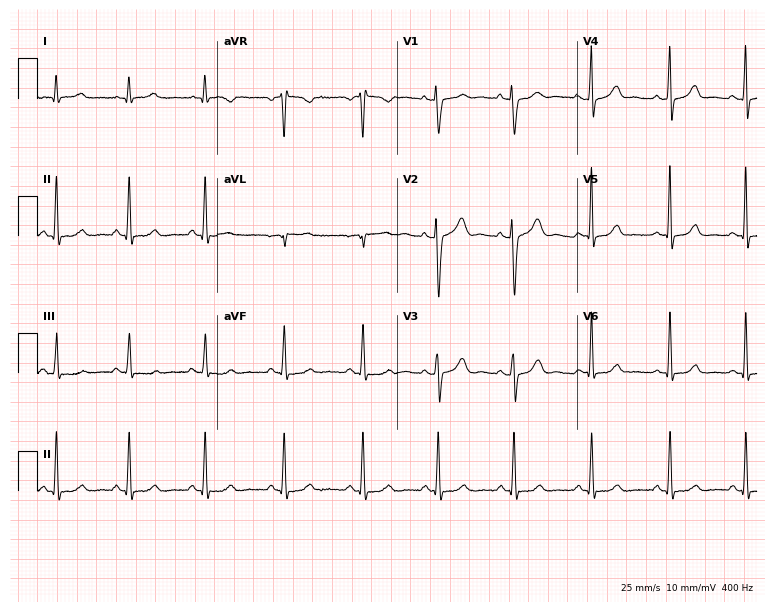
12-lead ECG (7.3-second recording at 400 Hz) from a woman, 44 years old. Labelled as a normal ECG.